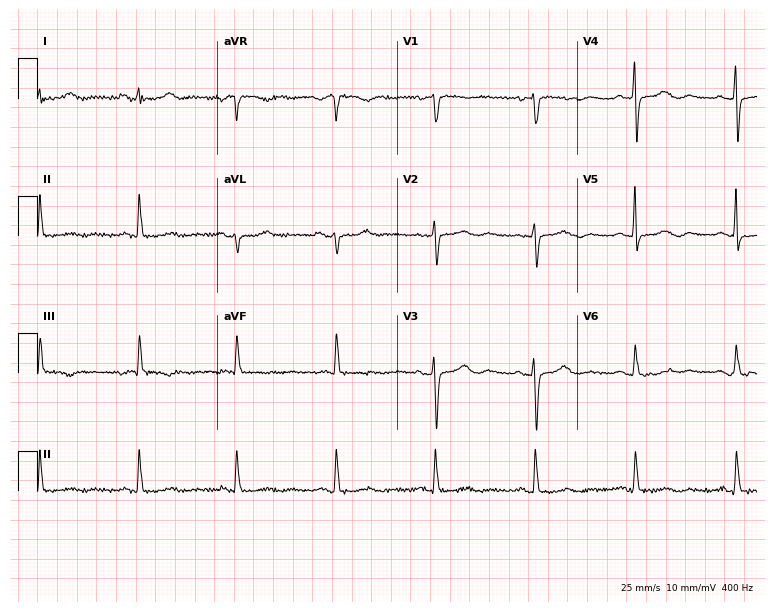
12-lead ECG from a female patient, 80 years old. No first-degree AV block, right bundle branch block, left bundle branch block, sinus bradycardia, atrial fibrillation or sinus tachycardia recorded for this tracing.